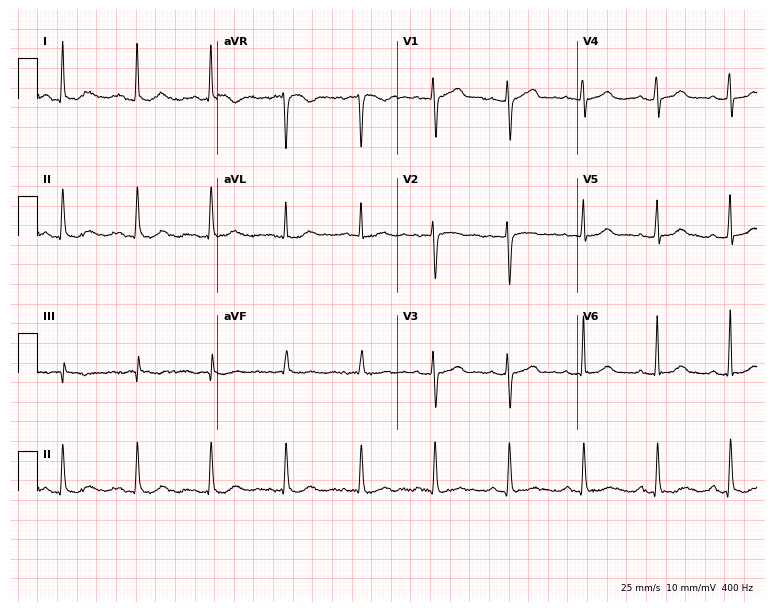
12-lead ECG (7.3-second recording at 400 Hz) from a female, 83 years old. Labelled as a normal ECG.